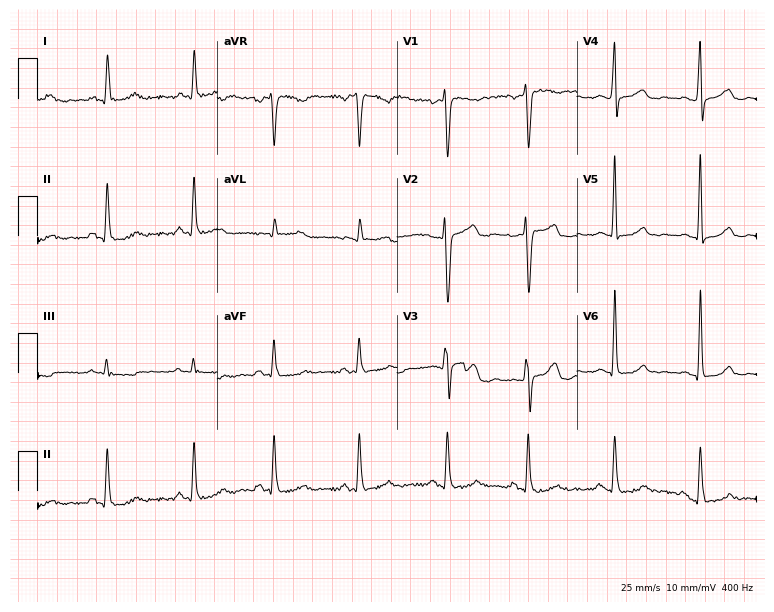
Resting 12-lead electrocardiogram. Patient: a 38-year-old female. None of these six findings is recorded: first-degree AV block, right bundle branch block, left bundle branch block, sinus bradycardia, atrial fibrillation, sinus tachycardia.